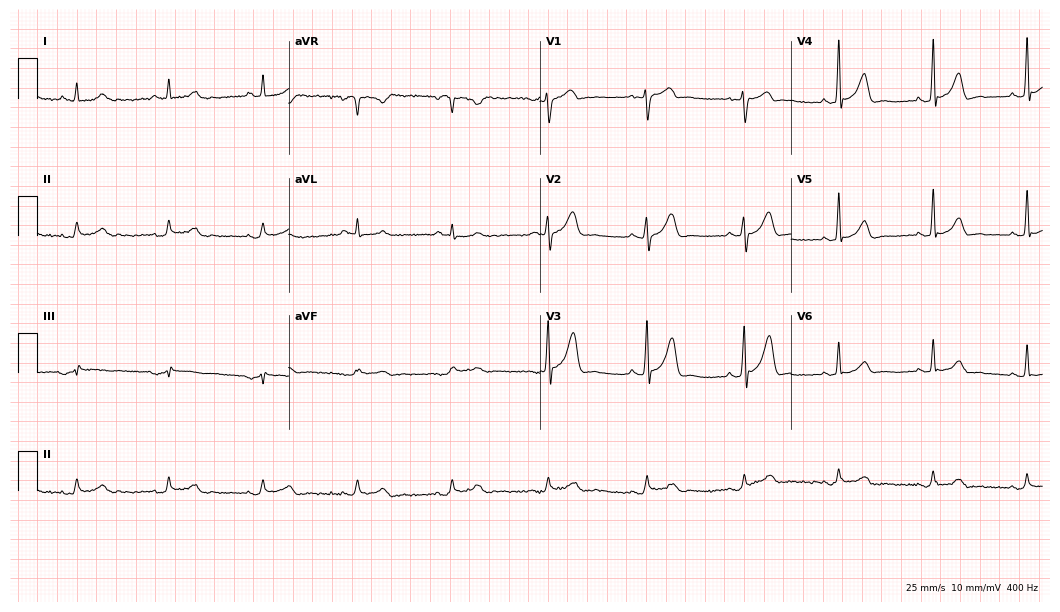
Resting 12-lead electrocardiogram. Patient: a 64-year-old male. None of these six findings is recorded: first-degree AV block, right bundle branch block, left bundle branch block, sinus bradycardia, atrial fibrillation, sinus tachycardia.